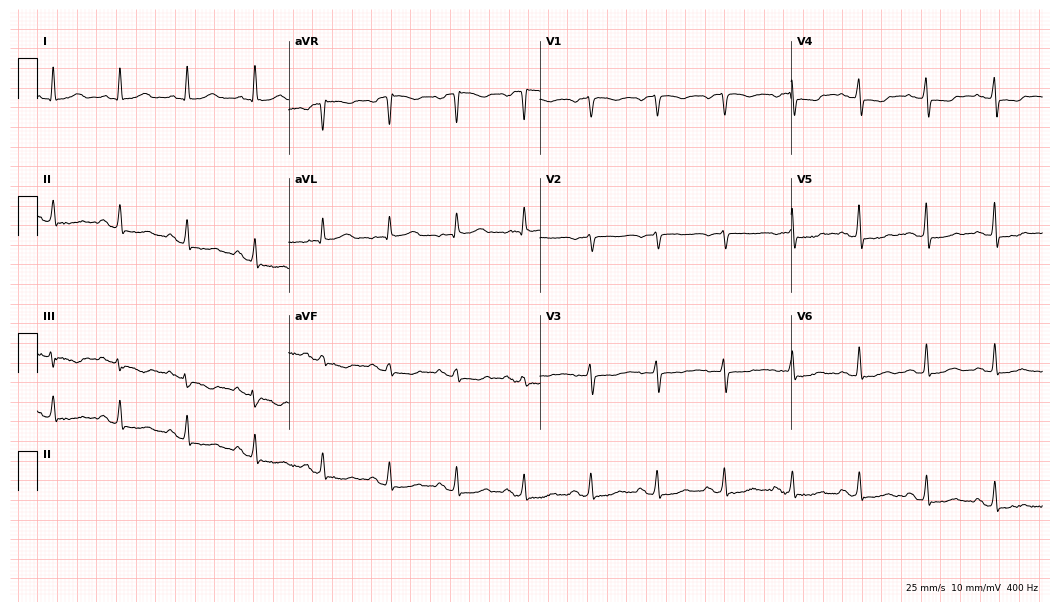
12-lead ECG from a 72-year-old woman (10.2-second recording at 400 Hz). No first-degree AV block, right bundle branch block, left bundle branch block, sinus bradycardia, atrial fibrillation or sinus tachycardia recorded for this tracing. Only these six findings were labelled.